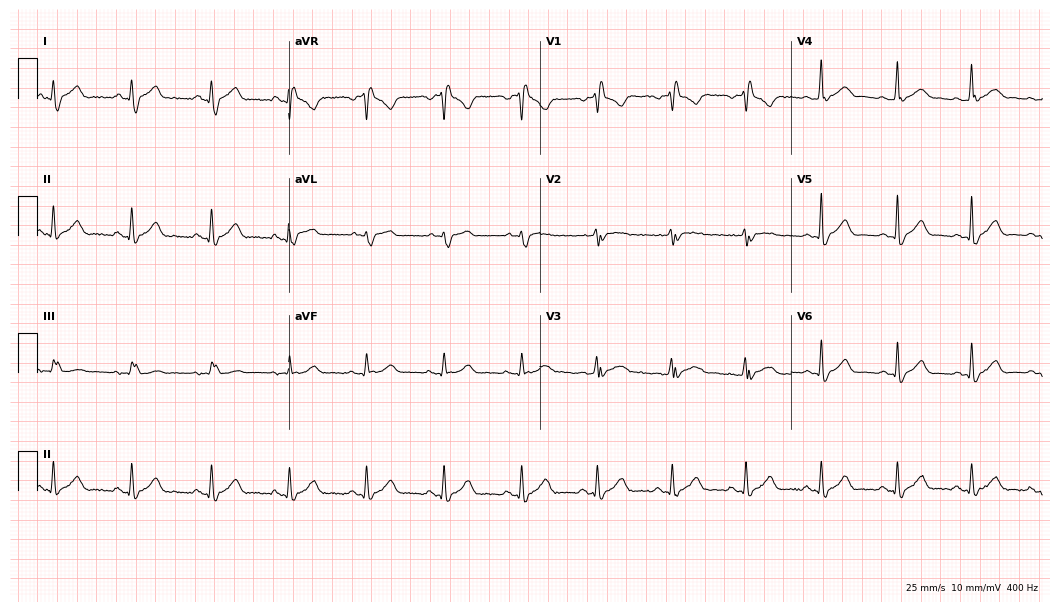
Electrocardiogram (10.2-second recording at 400 Hz), a male, 66 years old. Interpretation includes right bundle branch block.